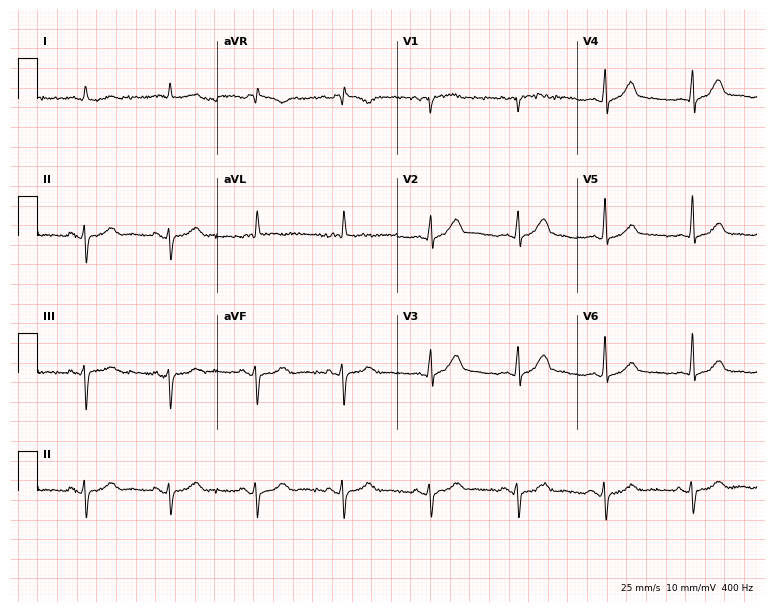
12-lead ECG (7.3-second recording at 400 Hz) from a male patient, 81 years old. Screened for six findings — first-degree AV block, right bundle branch block, left bundle branch block, sinus bradycardia, atrial fibrillation, sinus tachycardia — none is recorded.